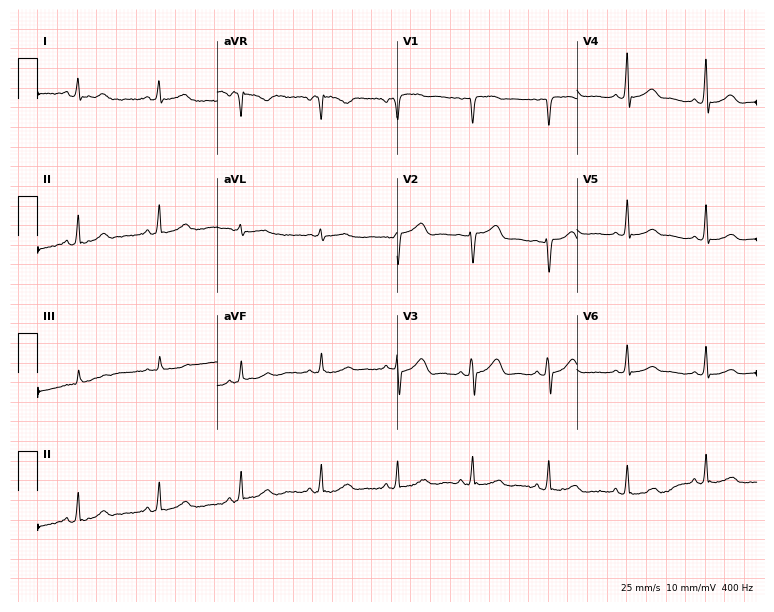
ECG — a 53-year-old female patient. Screened for six findings — first-degree AV block, right bundle branch block (RBBB), left bundle branch block (LBBB), sinus bradycardia, atrial fibrillation (AF), sinus tachycardia — none is recorded.